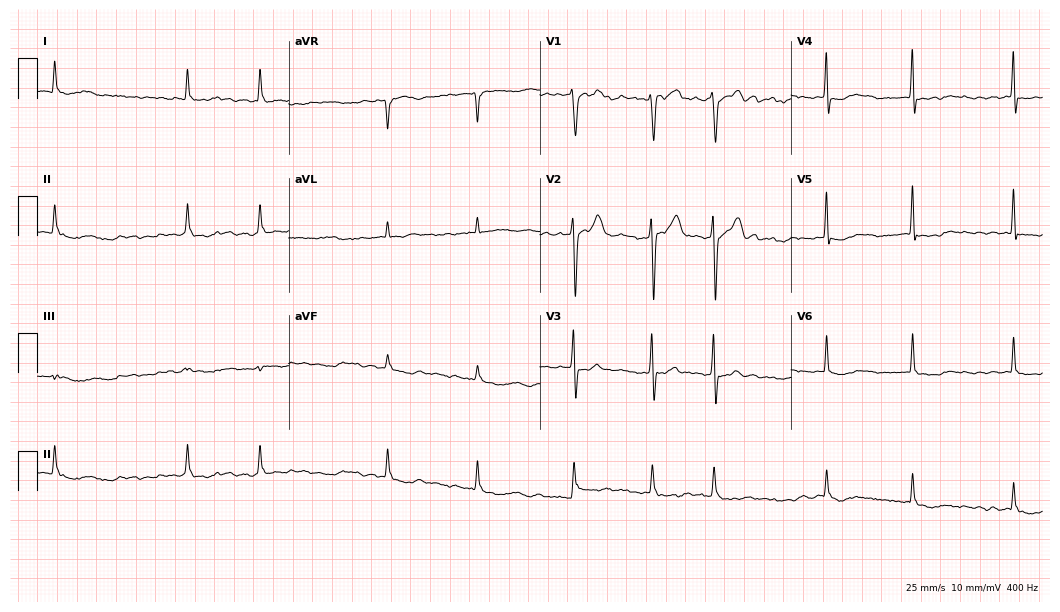
ECG (10.2-second recording at 400 Hz) — a 77-year-old man. Findings include atrial fibrillation.